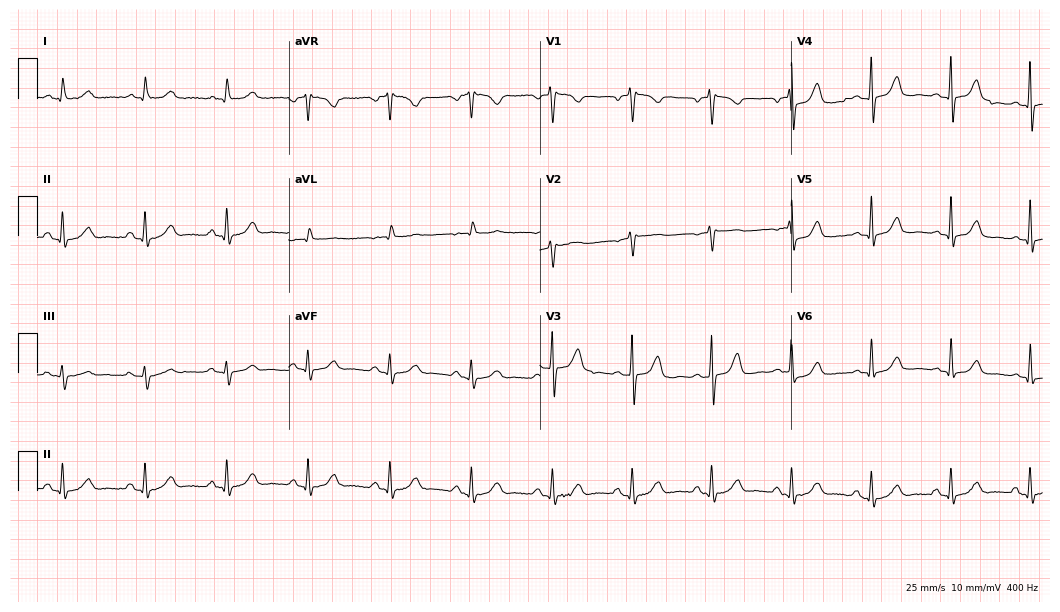
Electrocardiogram (10.2-second recording at 400 Hz), a 70-year-old female patient. Of the six screened findings (first-degree AV block, right bundle branch block, left bundle branch block, sinus bradycardia, atrial fibrillation, sinus tachycardia), none is recorded. Only these six findings were labelled.